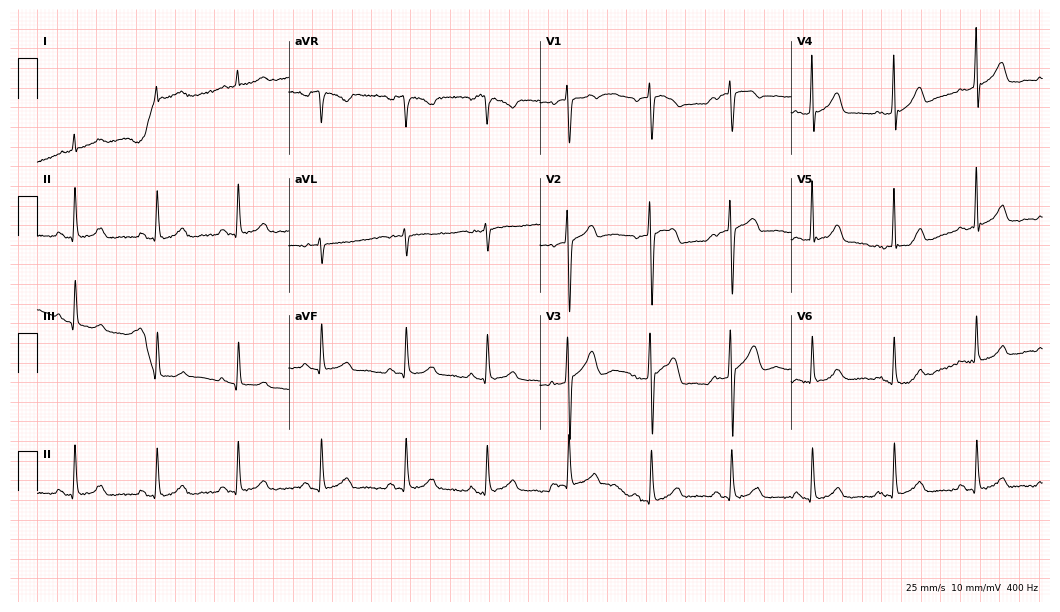
Standard 12-lead ECG recorded from a man, 59 years old. Read as a normal ECG.